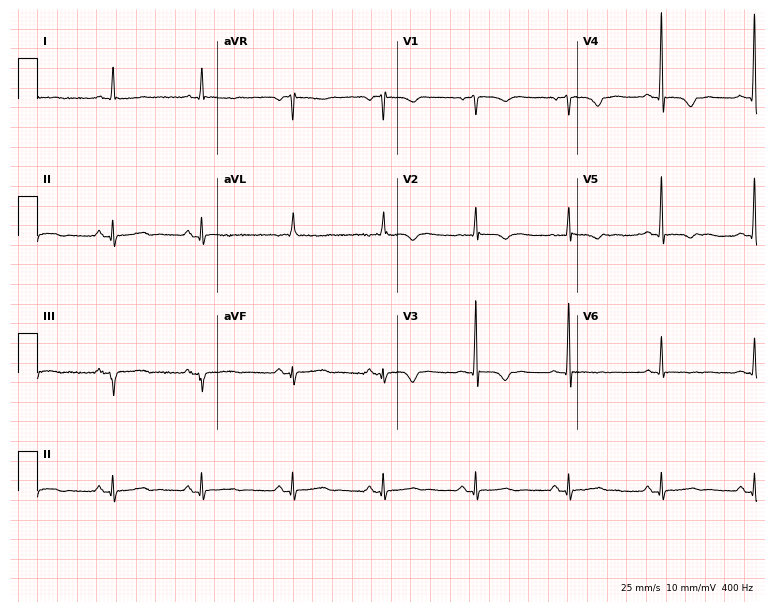
Resting 12-lead electrocardiogram. Patient: a 66-year-old female. None of these six findings is recorded: first-degree AV block, right bundle branch block, left bundle branch block, sinus bradycardia, atrial fibrillation, sinus tachycardia.